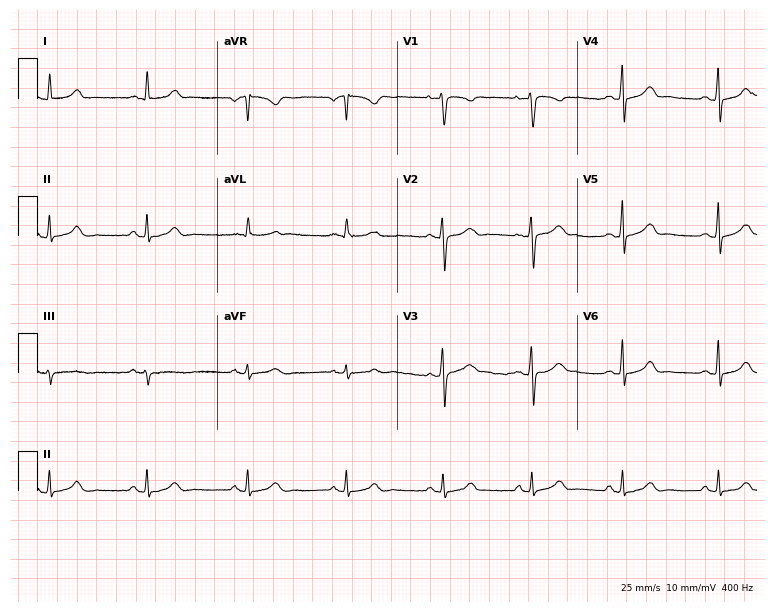
Resting 12-lead electrocardiogram. Patient: a female, 22 years old. None of these six findings is recorded: first-degree AV block, right bundle branch block, left bundle branch block, sinus bradycardia, atrial fibrillation, sinus tachycardia. Only these six findings were labelled.